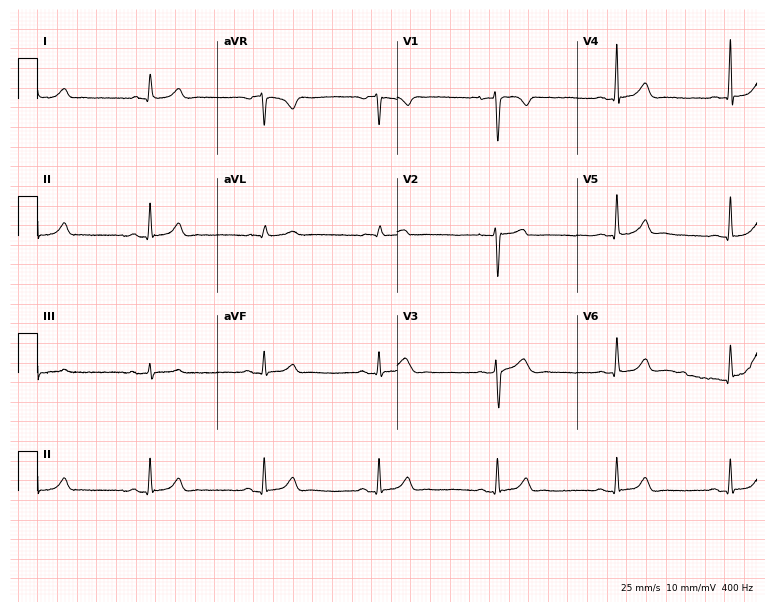
Standard 12-lead ECG recorded from a 29-year-old male patient (7.3-second recording at 400 Hz). Read as a normal ECG.